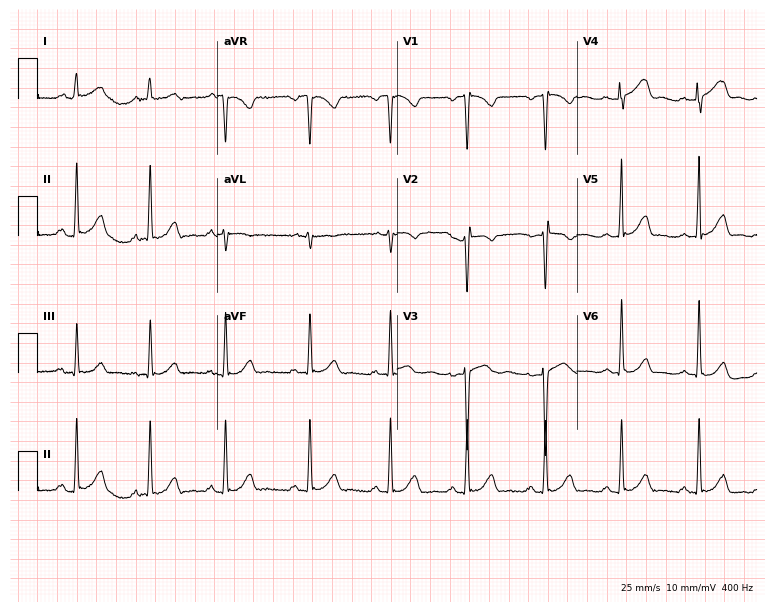
ECG (7.3-second recording at 400 Hz) — a 33-year-old woman. Screened for six findings — first-degree AV block, right bundle branch block, left bundle branch block, sinus bradycardia, atrial fibrillation, sinus tachycardia — none is recorded.